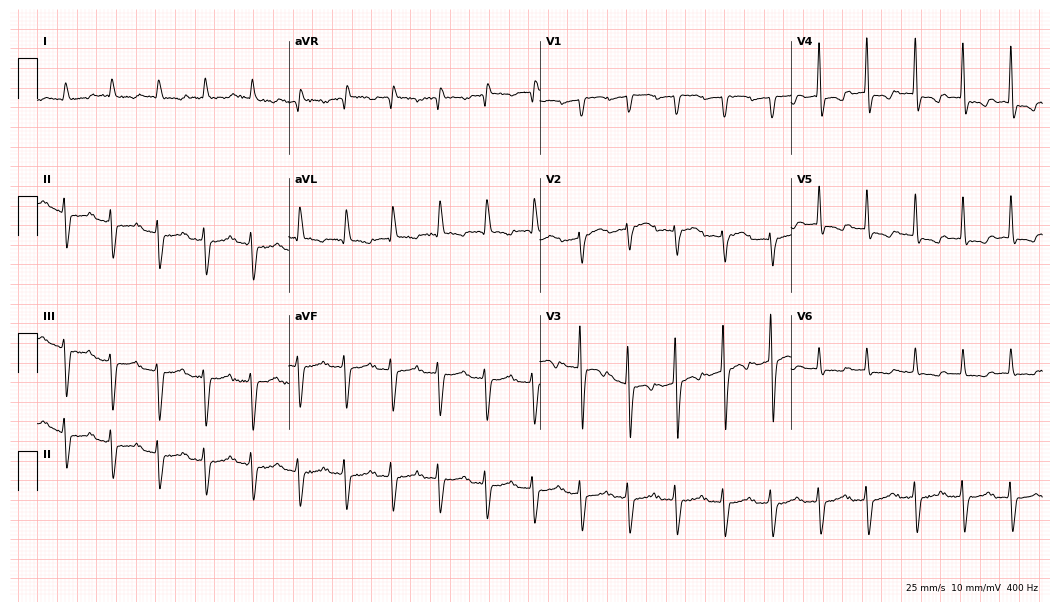
Standard 12-lead ECG recorded from a 75-year-old male patient (10.2-second recording at 400 Hz). None of these six findings is recorded: first-degree AV block, right bundle branch block (RBBB), left bundle branch block (LBBB), sinus bradycardia, atrial fibrillation (AF), sinus tachycardia. Findings outside these six are not listed.